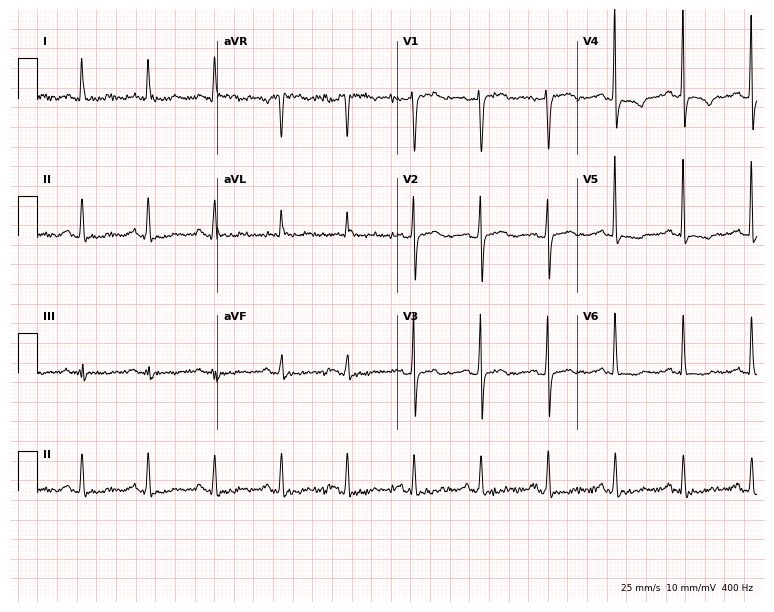
ECG (7.3-second recording at 400 Hz) — a 70-year-old female patient. Screened for six findings — first-degree AV block, right bundle branch block, left bundle branch block, sinus bradycardia, atrial fibrillation, sinus tachycardia — none is recorded. Only these six findings were labelled.